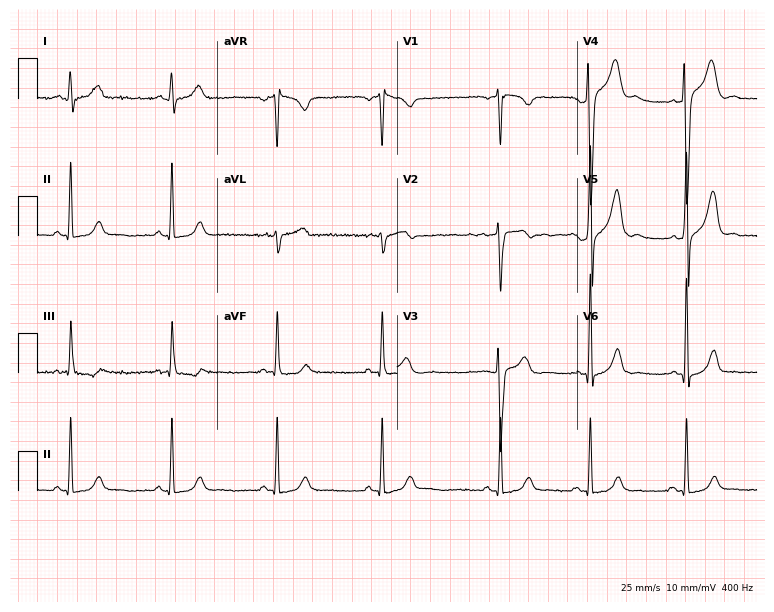
Standard 12-lead ECG recorded from a male patient, 37 years old. None of these six findings is recorded: first-degree AV block, right bundle branch block, left bundle branch block, sinus bradycardia, atrial fibrillation, sinus tachycardia.